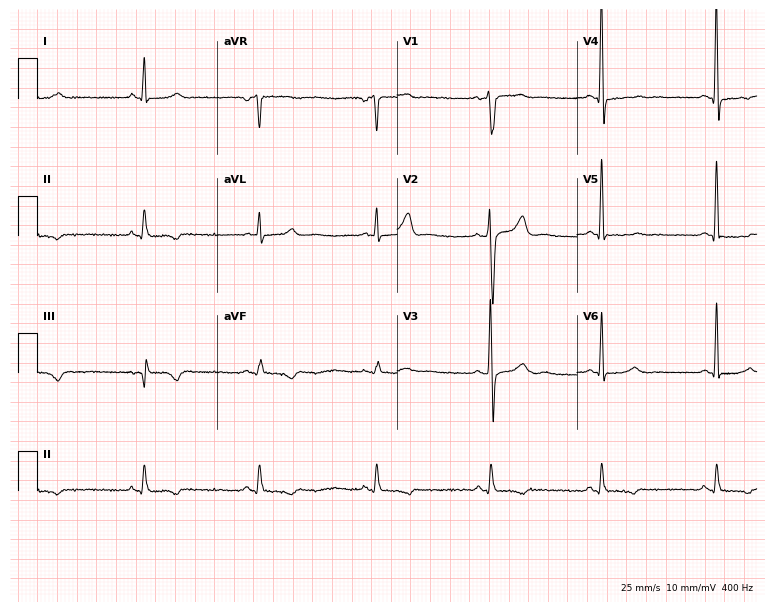
ECG — a 59-year-old male patient. Findings include sinus bradycardia (a sinus rate of 50 beats per minute or less).